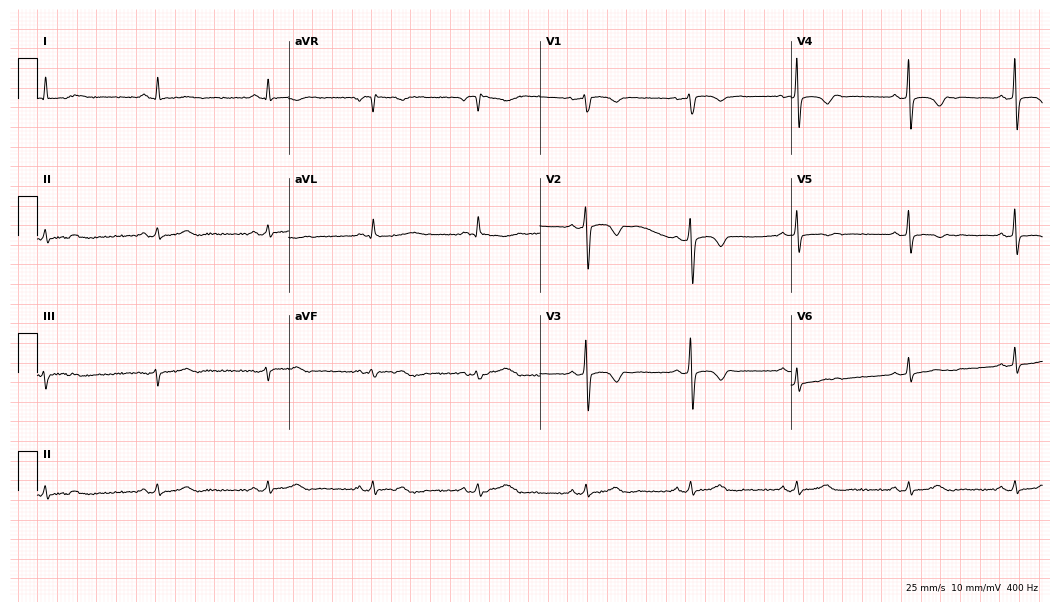
12-lead ECG from a 56-year-old female patient. No first-degree AV block, right bundle branch block, left bundle branch block, sinus bradycardia, atrial fibrillation or sinus tachycardia recorded for this tracing.